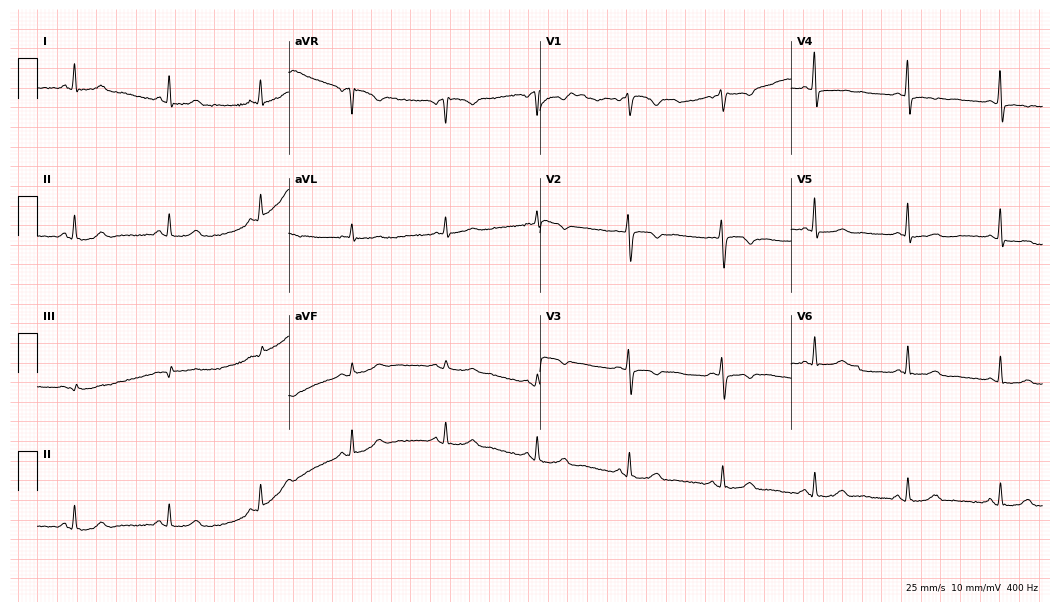
Electrocardiogram (10.2-second recording at 400 Hz), a 44-year-old female. Of the six screened findings (first-degree AV block, right bundle branch block (RBBB), left bundle branch block (LBBB), sinus bradycardia, atrial fibrillation (AF), sinus tachycardia), none is recorded. Findings outside these six are not listed.